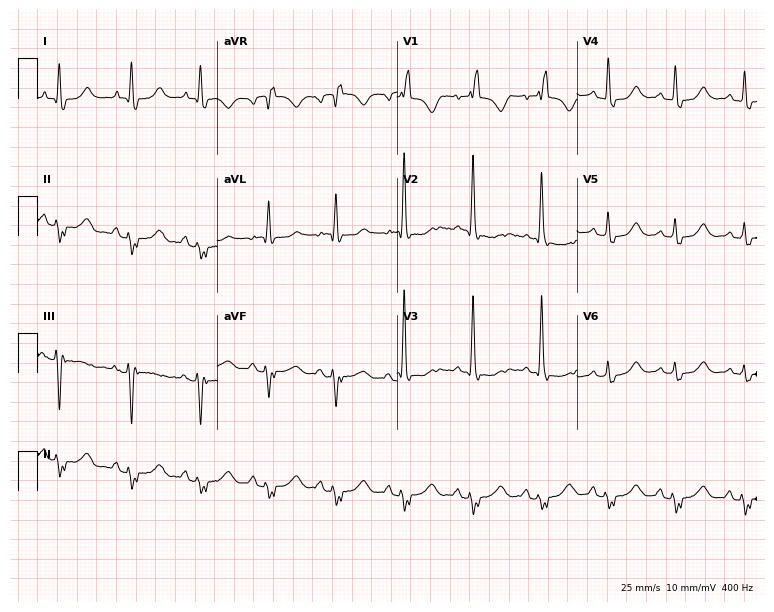
ECG (7.3-second recording at 400 Hz) — a female patient, 66 years old. Findings include right bundle branch block (RBBB).